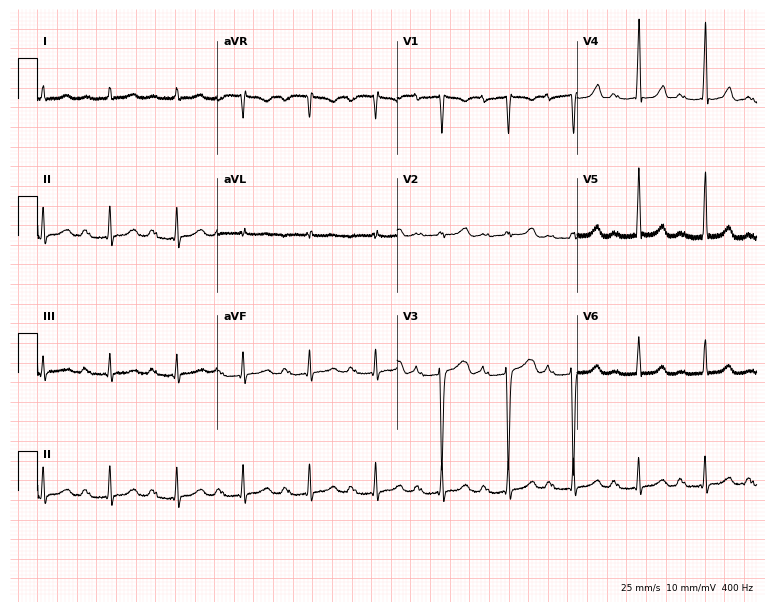
ECG (7.3-second recording at 400 Hz) — a woman, 82 years old. Screened for six findings — first-degree AV block, right bundle branch block (RBBB), left bundle branch block (LBBB), sinus bradycardia, atrial fibrillation (AF), sinus tachycardia — none is recorded. Other findings, if any, are not listed.